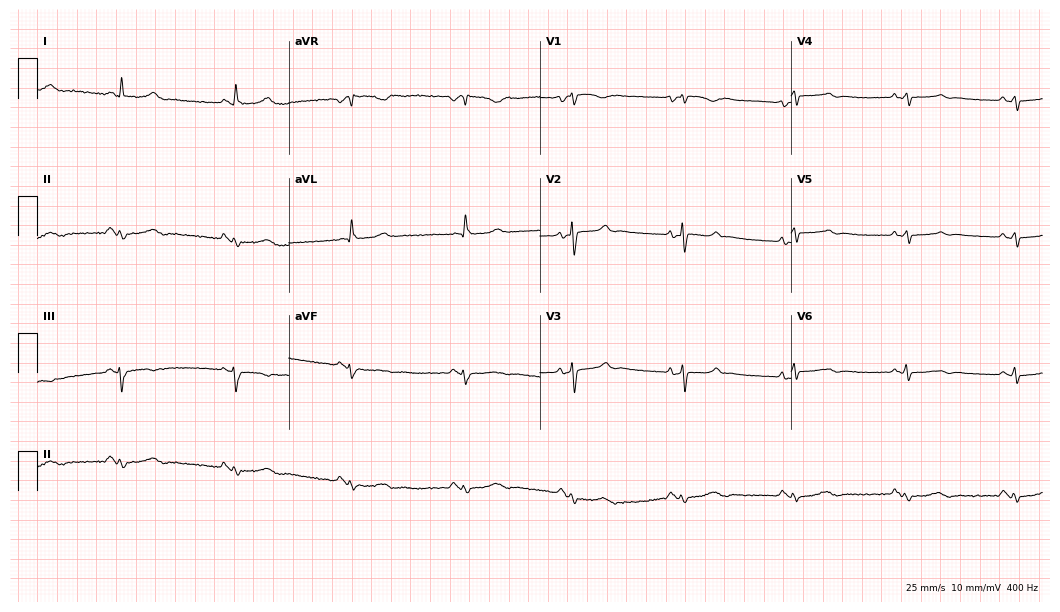
ECG — a 41-year-old woman. Screened for six findings — first-degree AV block, right bundle branch block, left bundle branch block, sinus bradycardia, atrial fibrillation, sinus tachycardia — none is recorded. Findings outside these six are not listed.